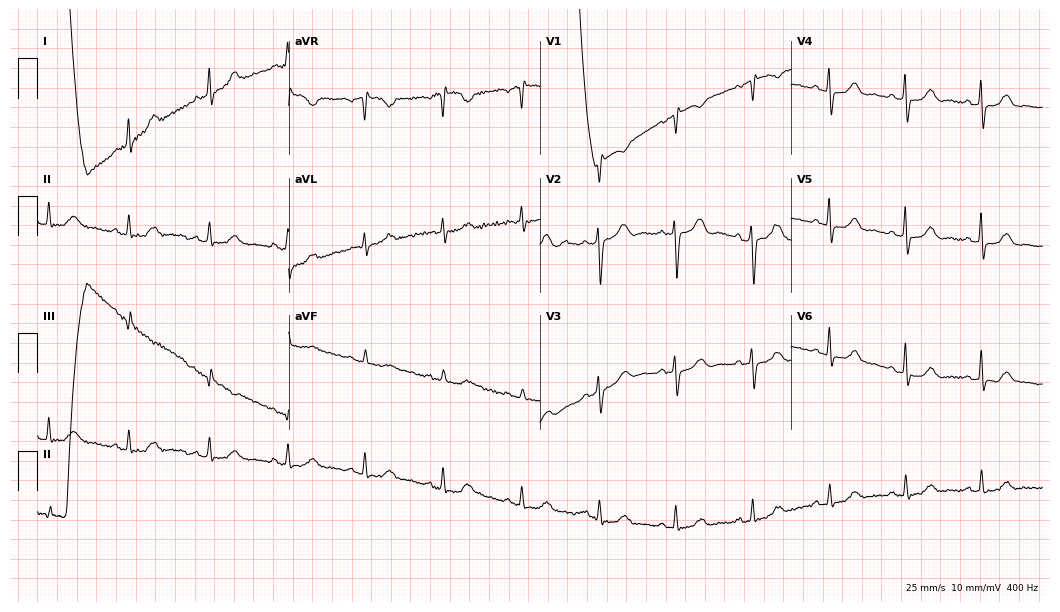
ECG (10.2-second recording at 400 Hz) — a female patient, 63 years old. Screened for six findings — first-degree AV block, right bundle branch block (RBBB), left bundle branch block (LBBB), sinus bradycardia, atrial fibrillation (AF), sinus tachycardia — none is recorded. Only these six findings were labelled.